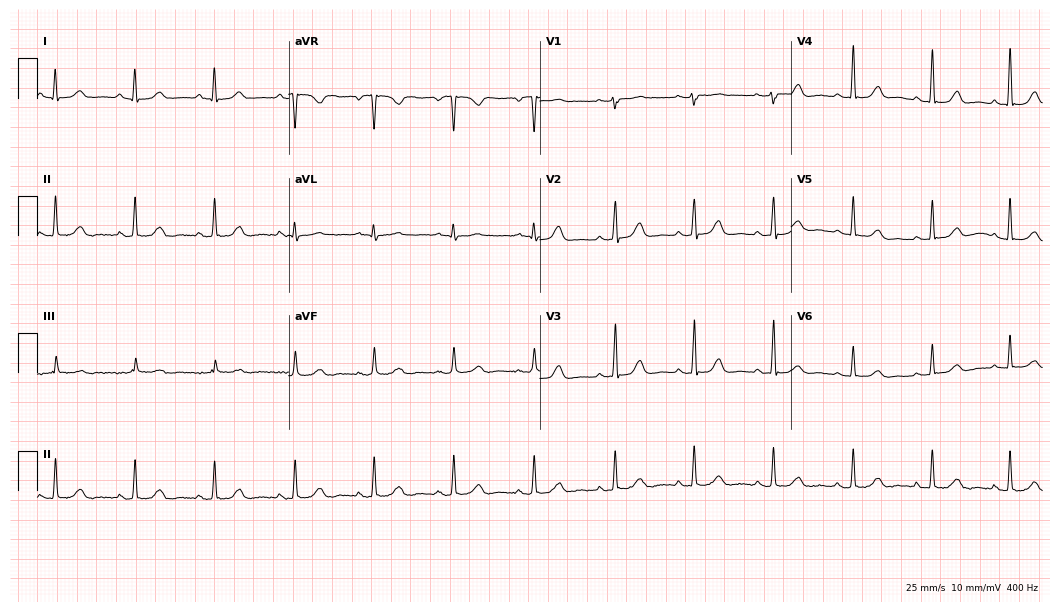
ECG — a 64-year-old female patient. Screened for six findings — first-degree AV block, right bundle branch block, left bundle branch block, sinus bradycardia, atrial fibrillation, sinus tachycardia — none is recorded. Findings outside these six are not listed.